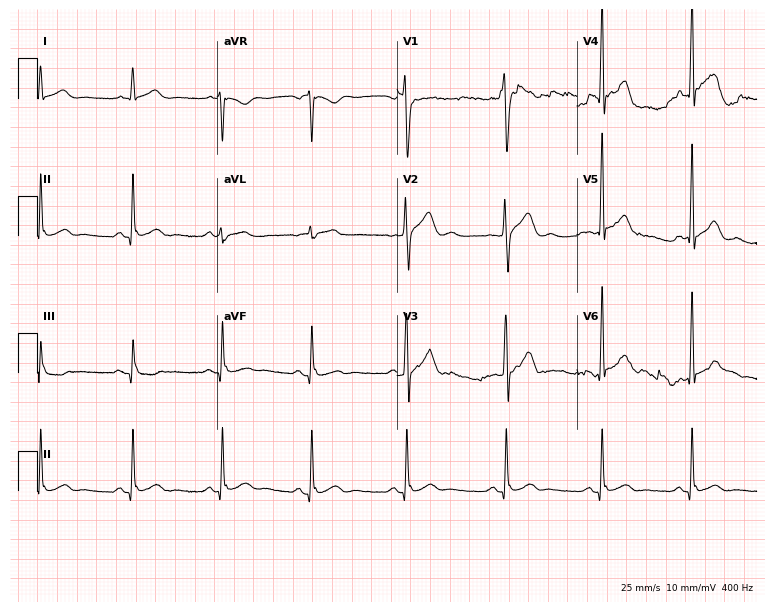
ECG — a man, 36 years old. Screened for six findings — first-degree AV block, right bundle branch block, left bundle branch block, sinus bradycardia, atrial fibrillation, sinus tachycardia — none is recorded.